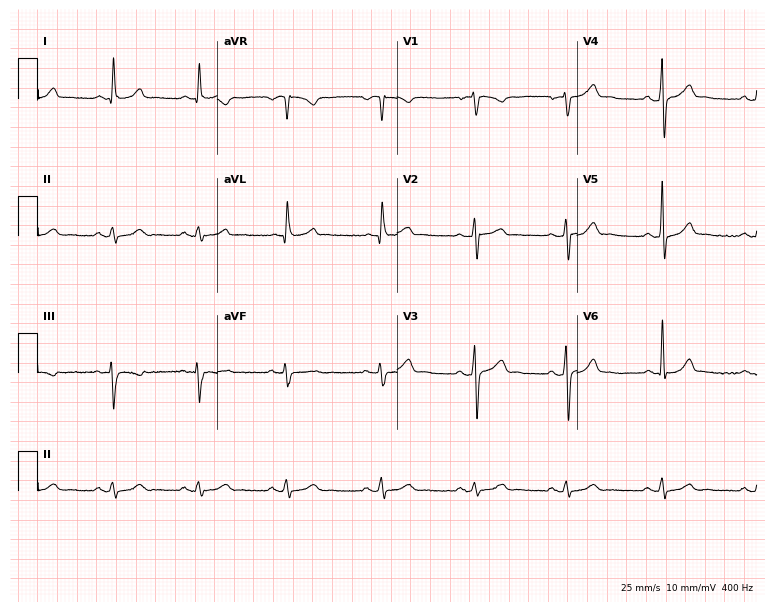
12-lead ECG from a male, 63 years old. Recorded interpretation: within normal limits.